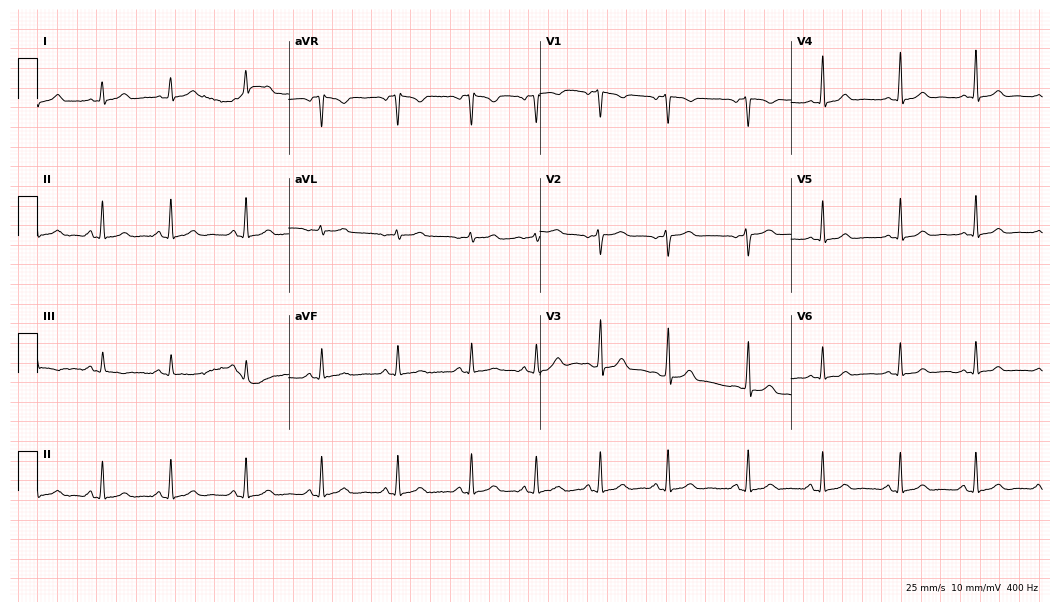
Electrocardiogram, a 30-year-old female patient. Overall reading on record: normal ECG.